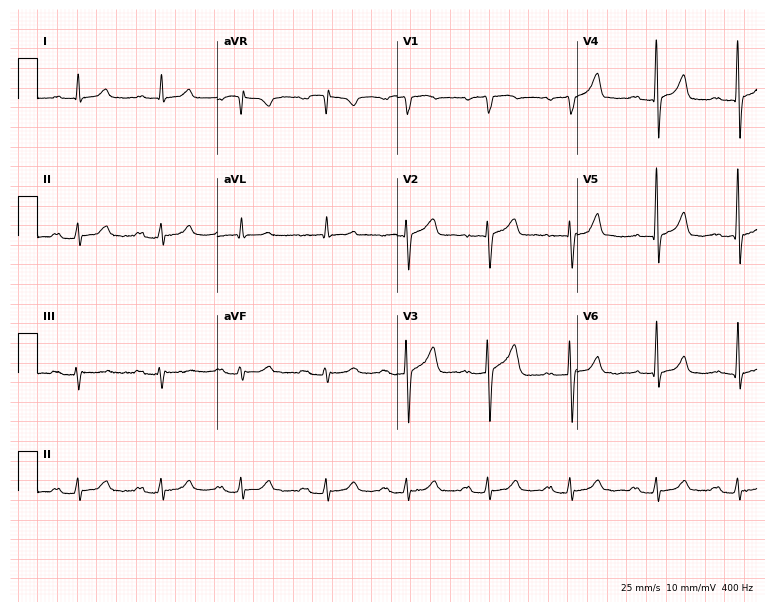
ECG (7.3-second recording at 400 Hz) — a 70-year-old male. Findings include first-degree AV block.